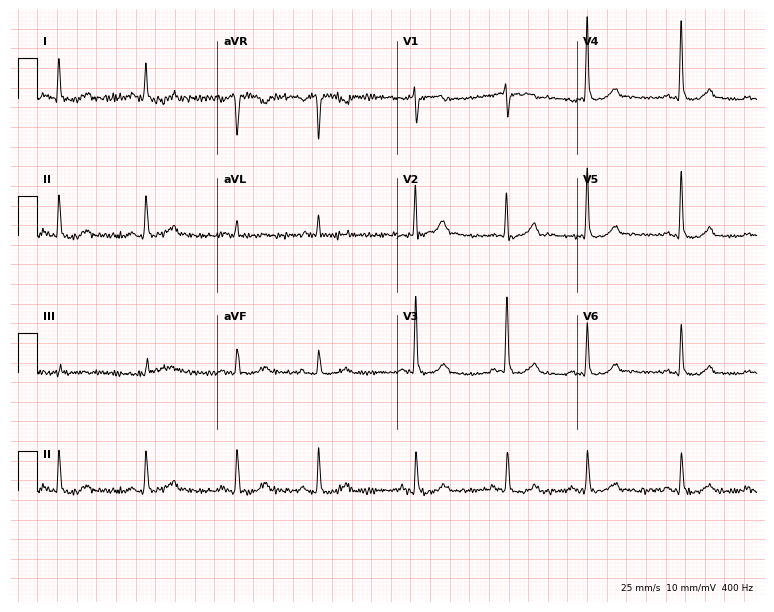
12-lead ECG (7.3-second recording at 400 Hz) from a man, 86 years old. Screened for six findings — first-degree AV block, right bundle branch block (RBBB), left bundle branch block (LBBB), sinus bradycardia, atrial fibrillation (AF), sinus tachycardia — none is recorded.